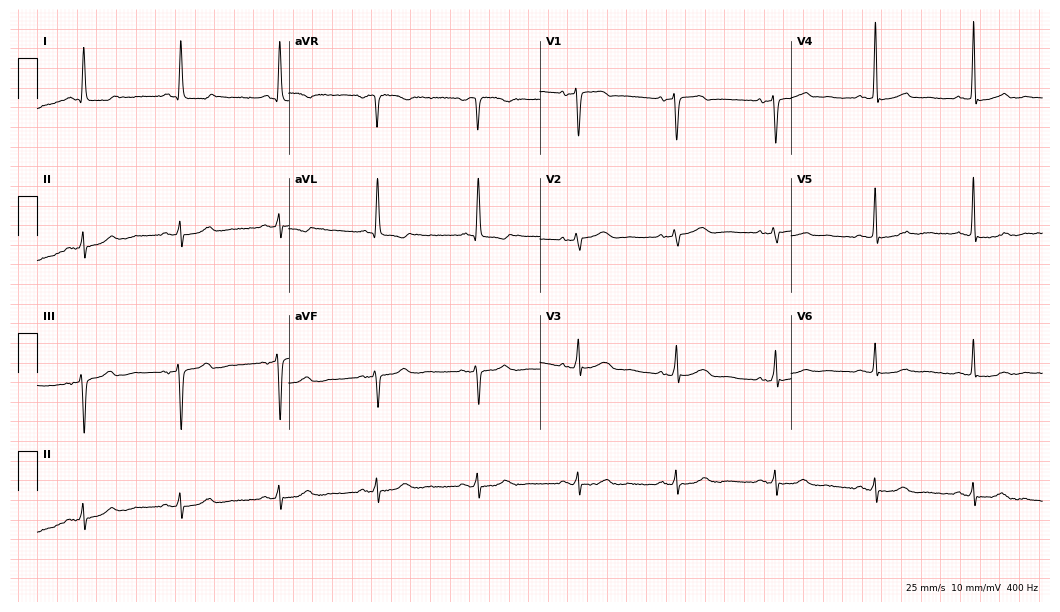
Electrocardiogram (10.2-second recording at 400 Hz), a 65-year-old female patient. Overall reading on record: normal ECG.